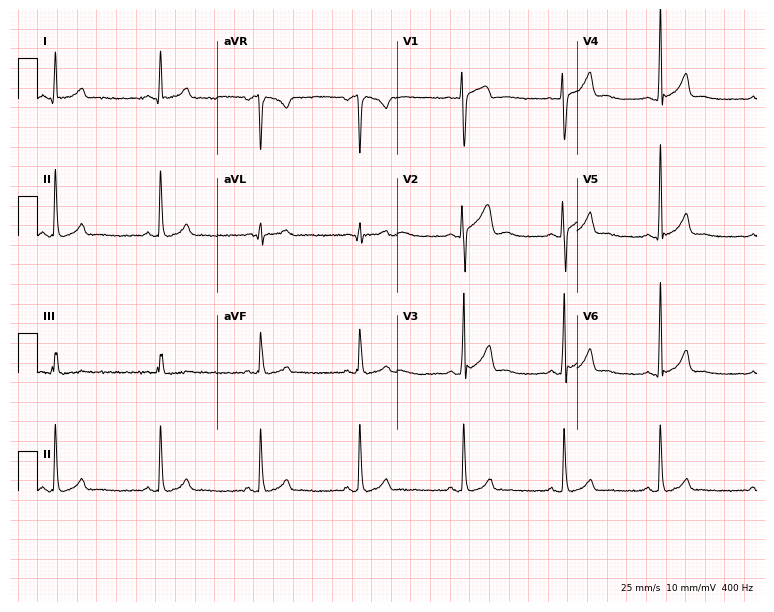
12-lead ECG from a male patient, 17 years old (7.3-second recording at 400 Hz). Recorded interpretation: within normal limits.